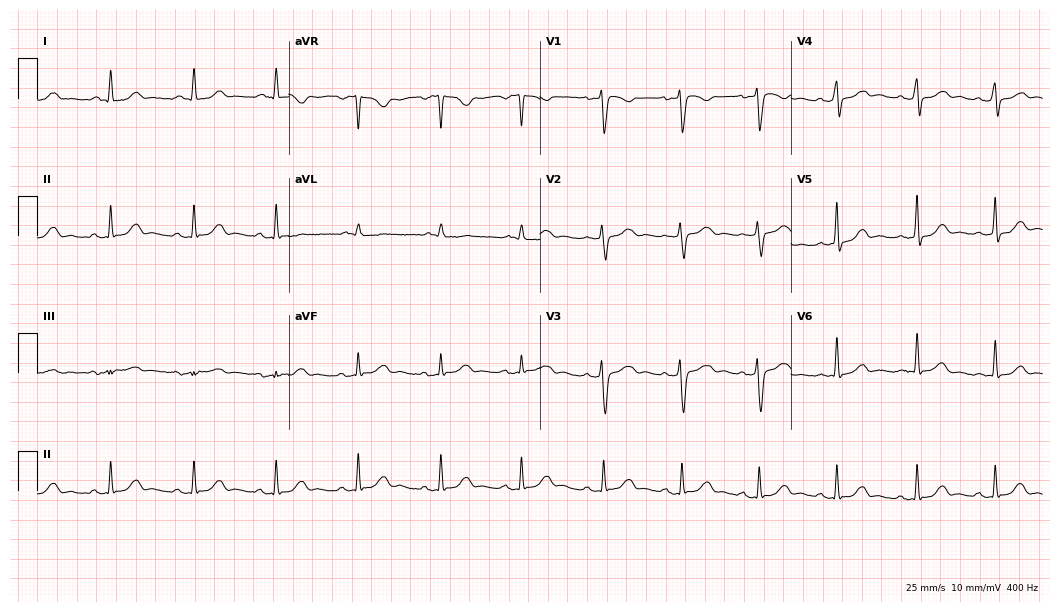
12-lead ECG from a female patient, 55 years old. Screened for six findings — first-degree AV block, right bundle branch block, left bundle branch block, sinus bradycardia, atrial fibrillation, sinus tachycardia — none is recorded. Only these six findings were labelled.